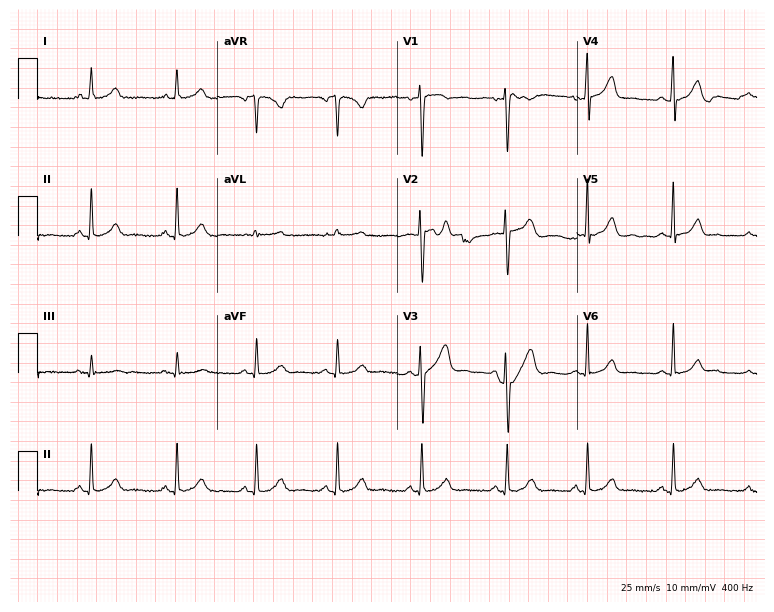
Resting 12-lead electrocardiogram. Patient: a 44-year-old female. Read as a normal ECG.